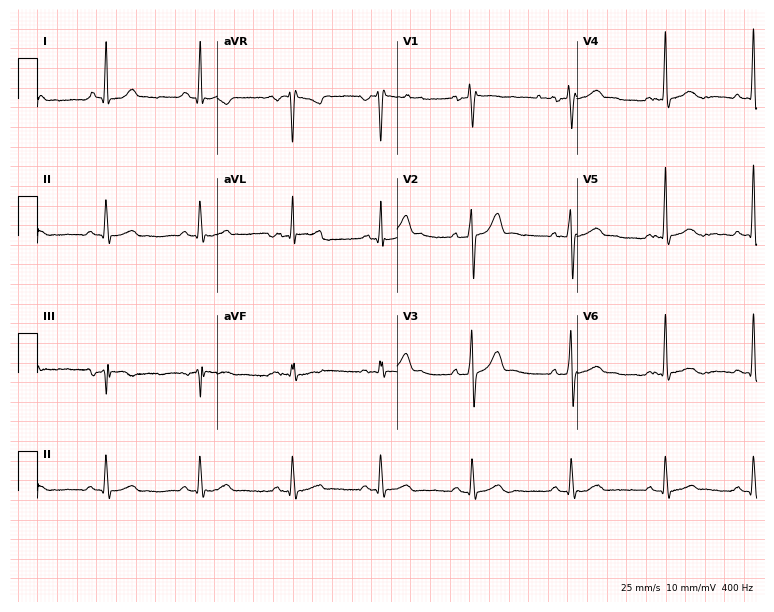
12-lead ECG from a 43-year-old male. Labelled as a normal ECG.